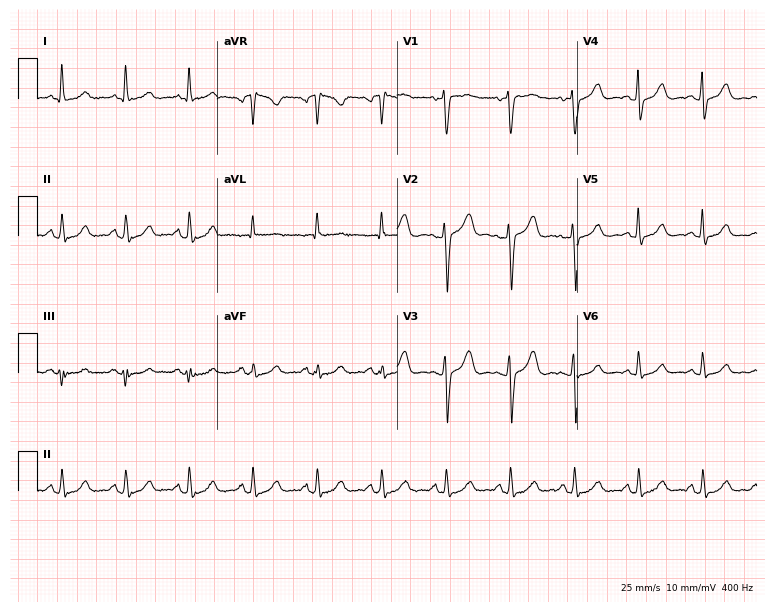
12-lead ECG from a woman, 66 years old. Labelled as a normal ECG.